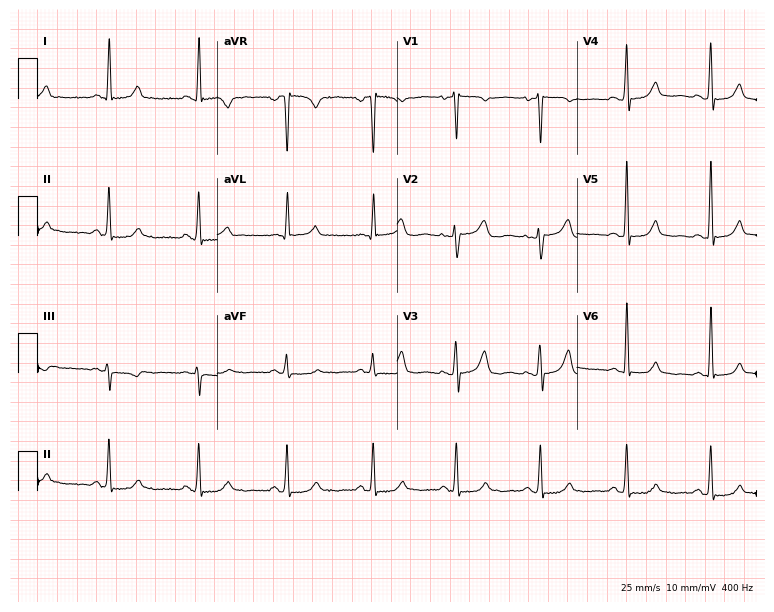
ECG — a 50-year-old woman. Screened for six findings — first-degree AV block, right bundle branch block (RBBB), left bundle branch block (LBBB), sinus bradycardia, atrial fibrillation (AF), sinus tachycardia — none is recorded. Other findings, if any, are not listed.